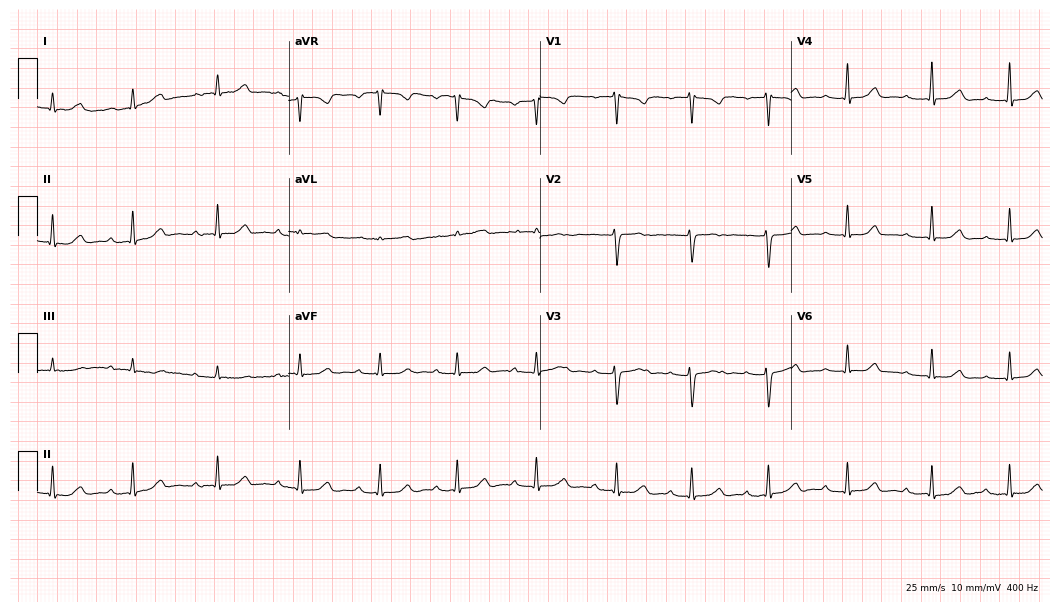
Resting 12-lead electrocardiogram (10.2-second recording at 400 Hz). Patient: a female, 31 years old. The tracing shows first-degree AV block.